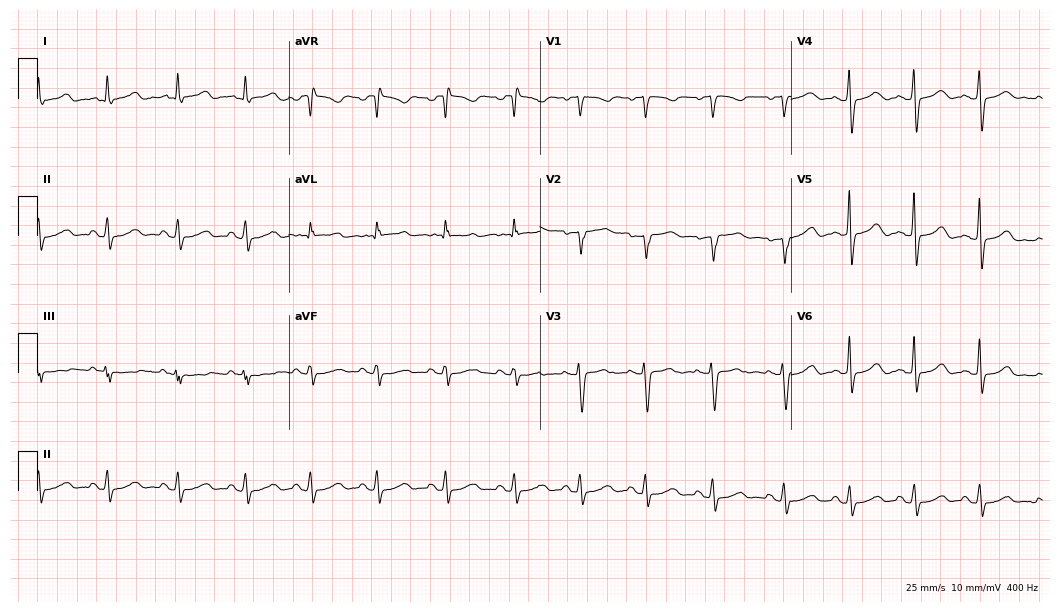
Standard 12-lead ECG recorded from a female, 35 years old (10.2-second recording at 400 Hz). Read as a normal ECG.